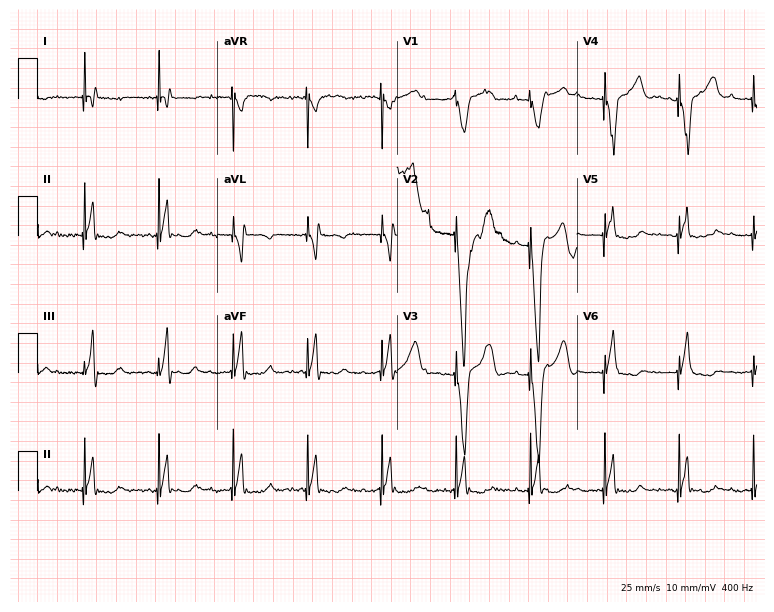
12-lead ECG from a 63-year-old man. Screened for six findings — first-degree AV block, right bundle branch block, left bundle branch block, sinus bradycardia, atrial fibrillation, sinus tachycardia — none is recorded.